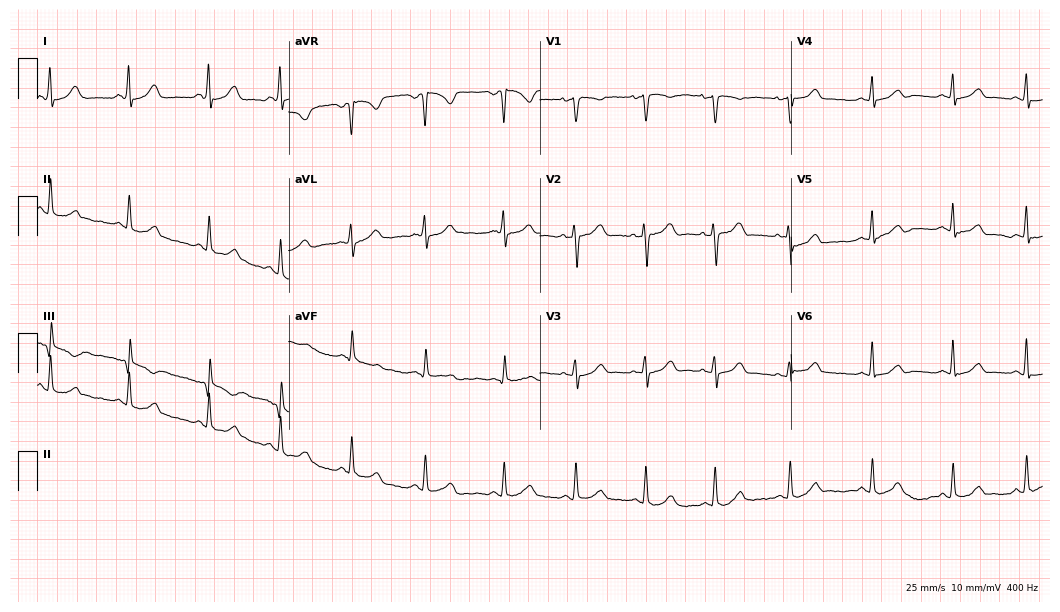
ECG (10.2-second recording at 400 Hz) — a 31-year-old female patient. Labelled as a normal ECG.